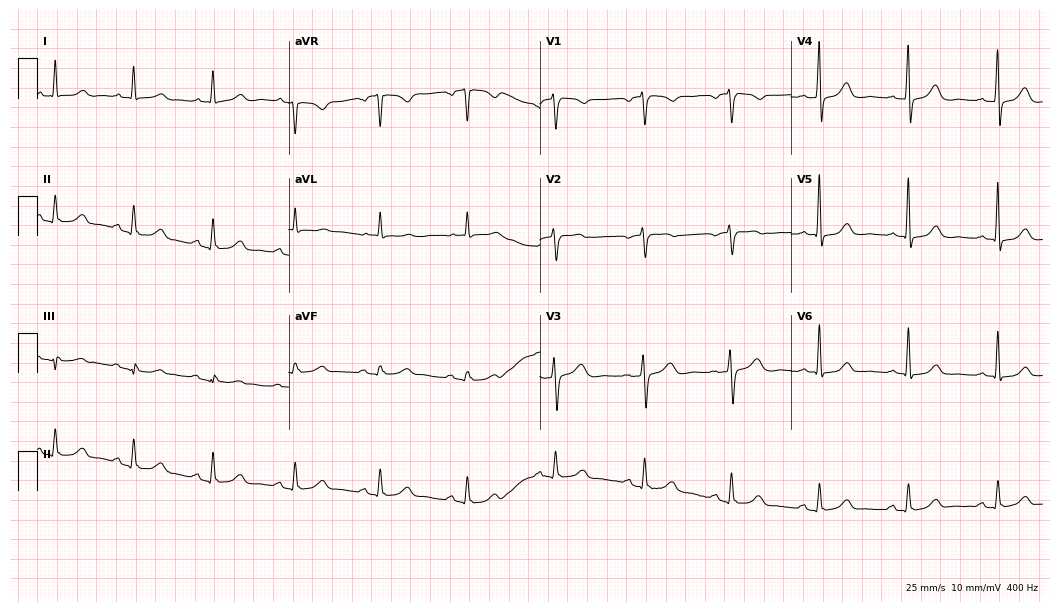
Electrocardiogram, a woman, 65 years old. Of the six screened findings (first-degree AV block, right bundle branch block (RBBB), left bundle branch block (LBBB), sinus bradycardia, atrial fibrillation (AF), sinus tachycardia), none is recorded.